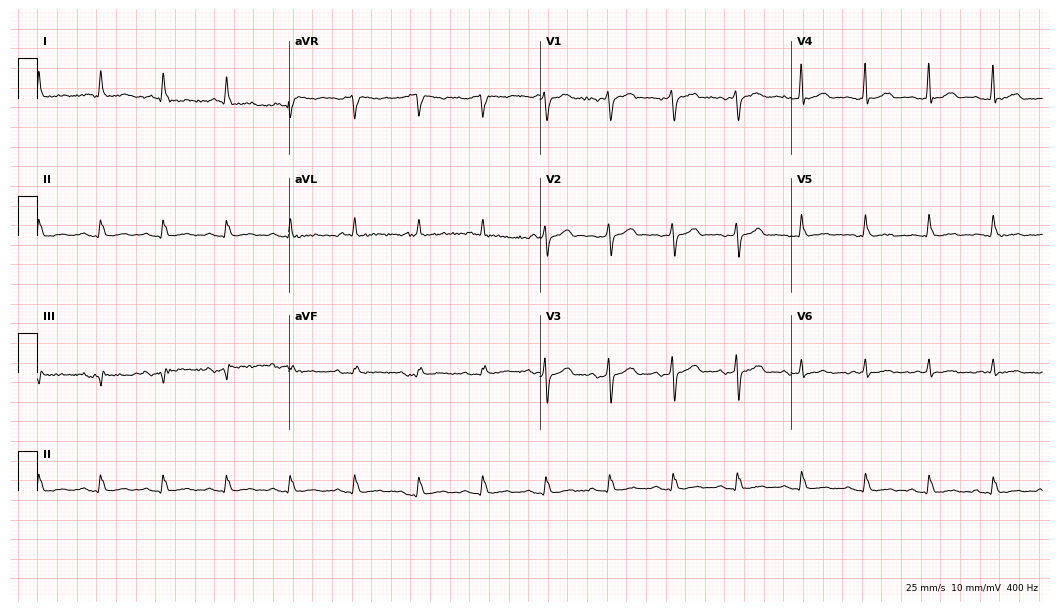
12-lead ECG from a 60-year-old male. Labelled as a normal ECG.